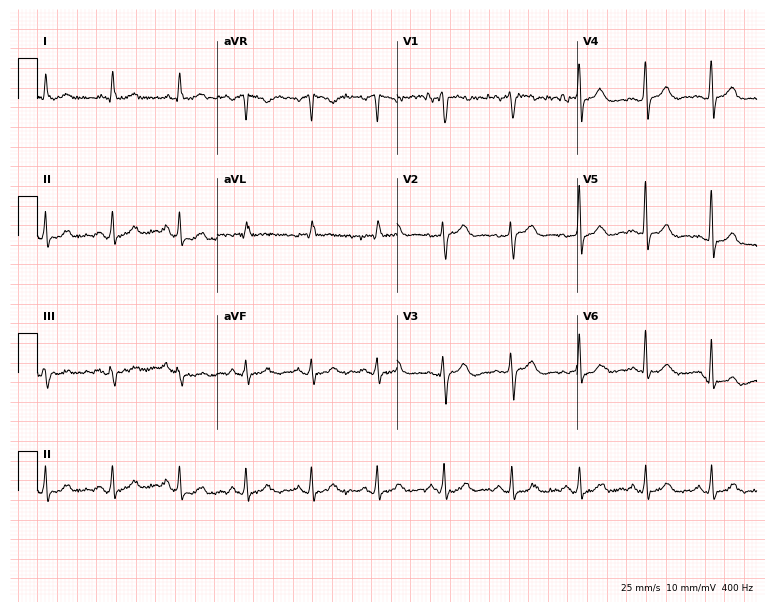
Standard 12-lead ECG recorded from a 47-year-old woman. Read as a normal ECG.